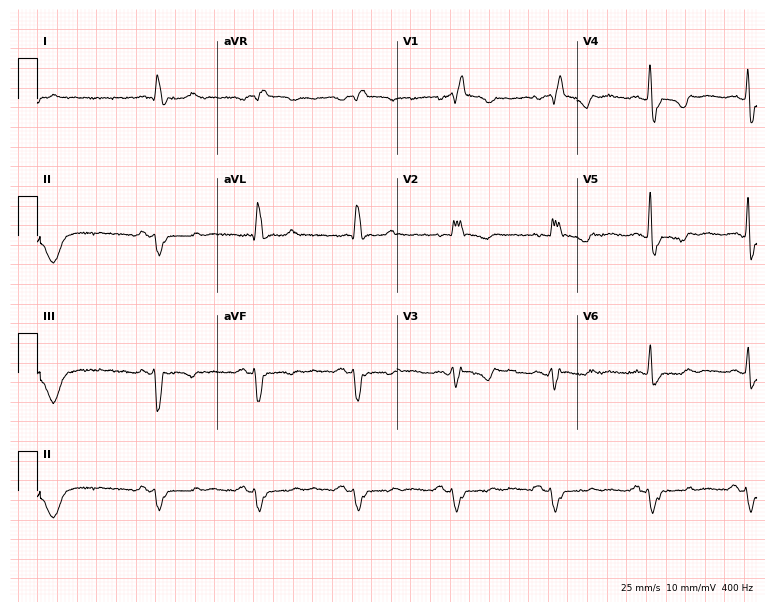
Standard 12-lead ECG recorded from a female, 83 years old (7.3-second recording at 400 Hz). The tracing shows right bundle branch block.